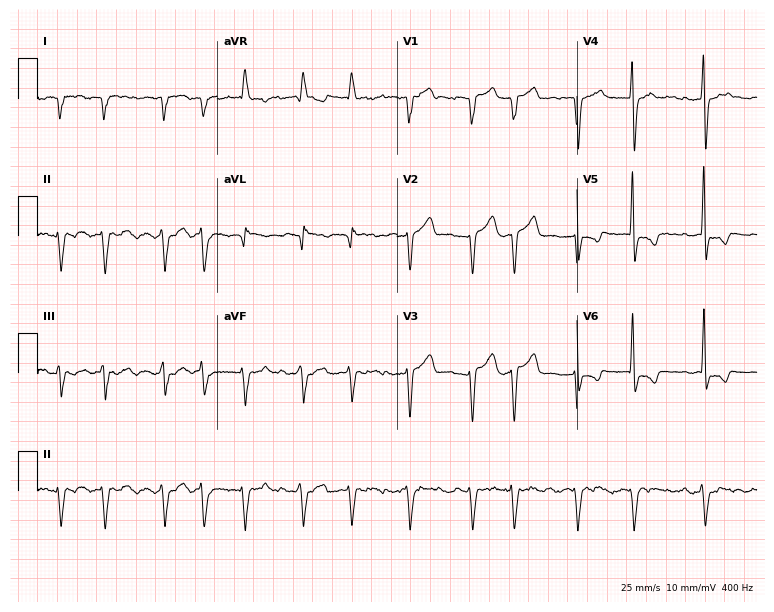
Standard 12-lead ECG recorded from a male, 75 years old (7.3-second recording at 400 Hz). The tracing shows atrial fibrillation.